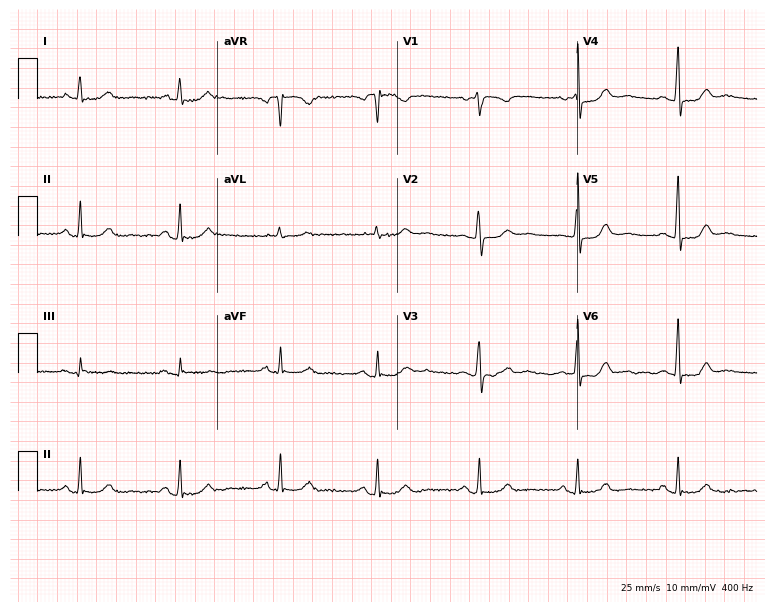
Standard 12-lead ECG recorded from a 68-year-old female (7.3-second recording at 400 Hz). Read as a normal ECG.